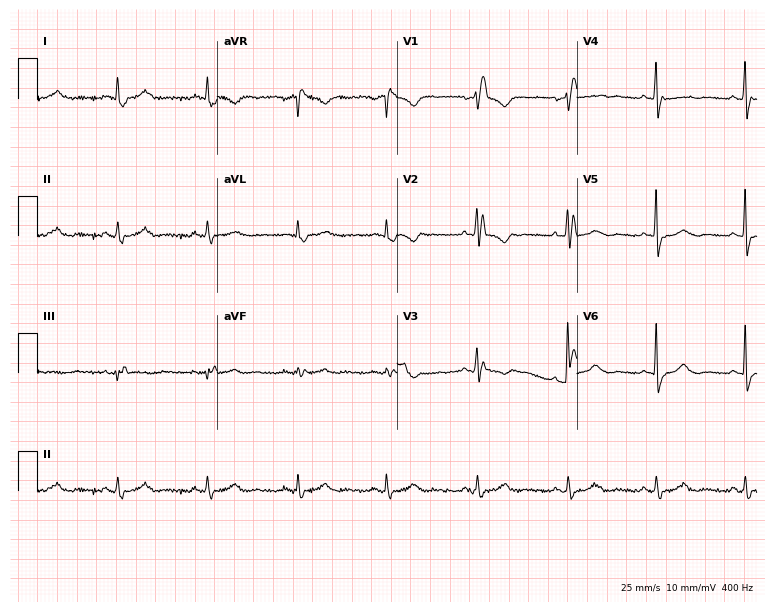
Standard 12-lead ECG recorded from a 47-year-old female (7.3-second recording at 400 Hz). The tracing shows right bundle branch block.